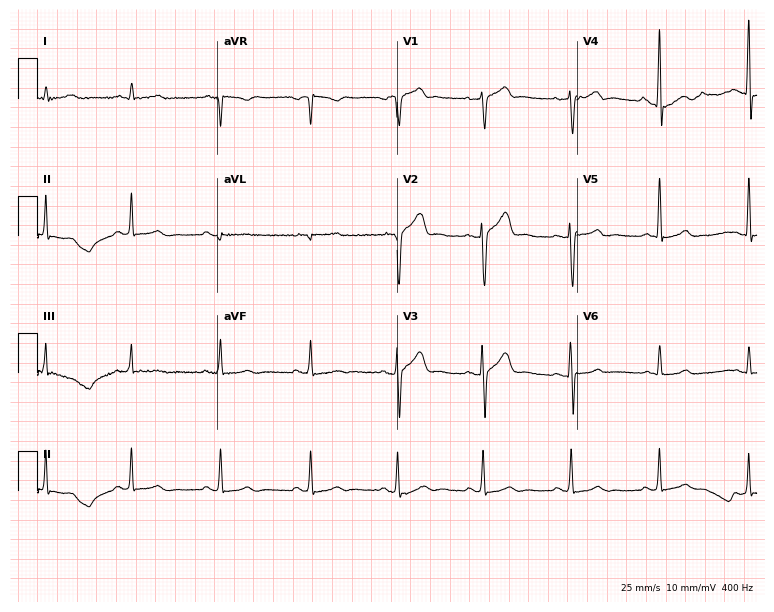
Electrocardiogram (7.3-second recording at 400 Hz), a 43-year-old man. Of the six screened findings (first-degree AV block, right bundle branch block (RBBB), left bundle branch block (LBBB), sinus bradycardia, atrial fibrillation (AF), sinus tachycardia), none is recorded.